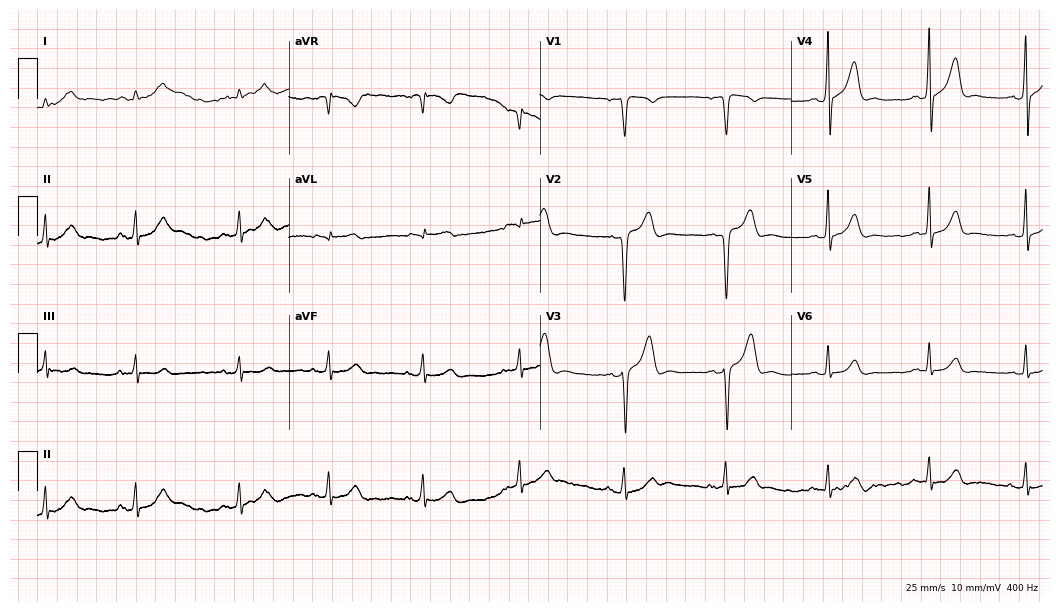
12-lead ECG (10.2-second recording at 400 Hz) from a man, 38 years old. Screened for six findings — first-degree AV block, right bundle branch block, left bundle branch block, sinus bradycardia, atrial fibrillation, sinus tachycardia — none is recorded.